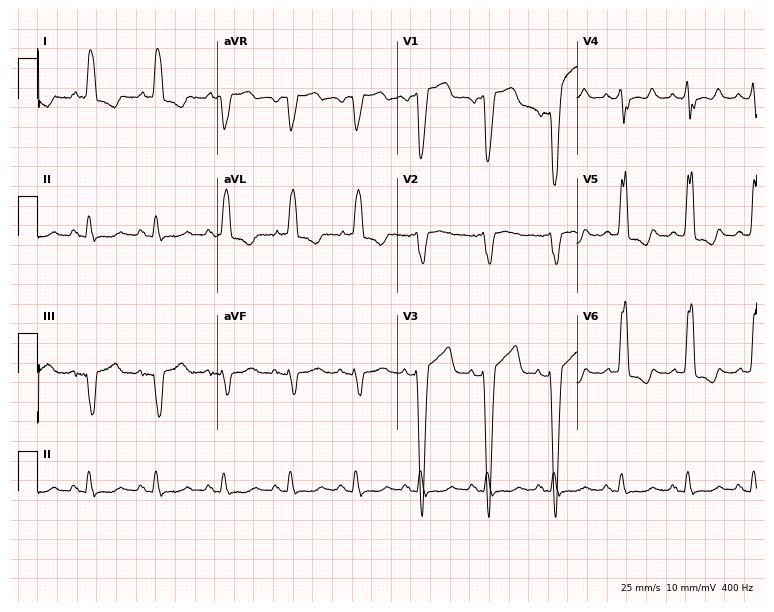
12-lead ECG (7.3-second recording at 400 Hz) from an 85-year-old male patient. Screened for six findings — first-degree AV block, right bundle branch block (RBBB), left bundle branch block (LBBB), sinus bradycardia, atrial fibrillation (AF), sinus tachycardia — none is recorded.